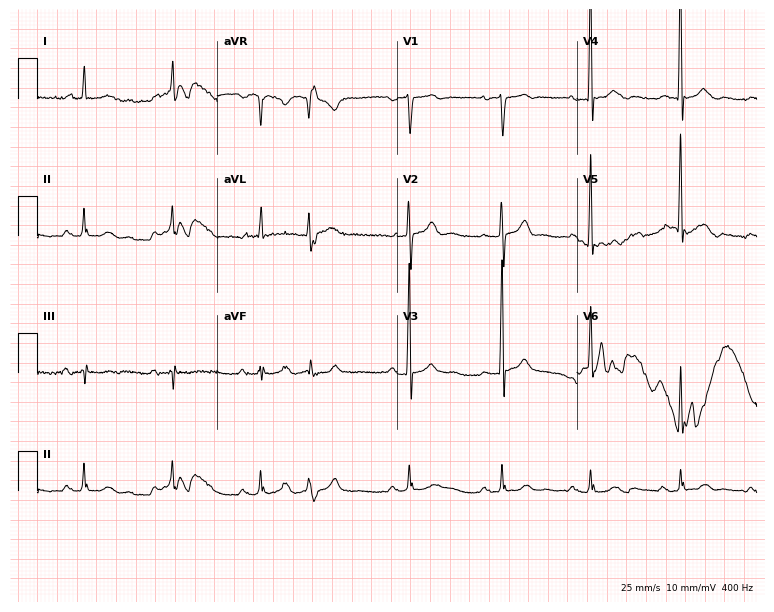
ECG — a man, 69 years old. Screened for six findings — first-degree AV block, right bundle branch block, left bundle branch block, sinus bradycardia, atrial fibrillation, sinus tachycardia — none is recorded. Only these six findings were labelled.